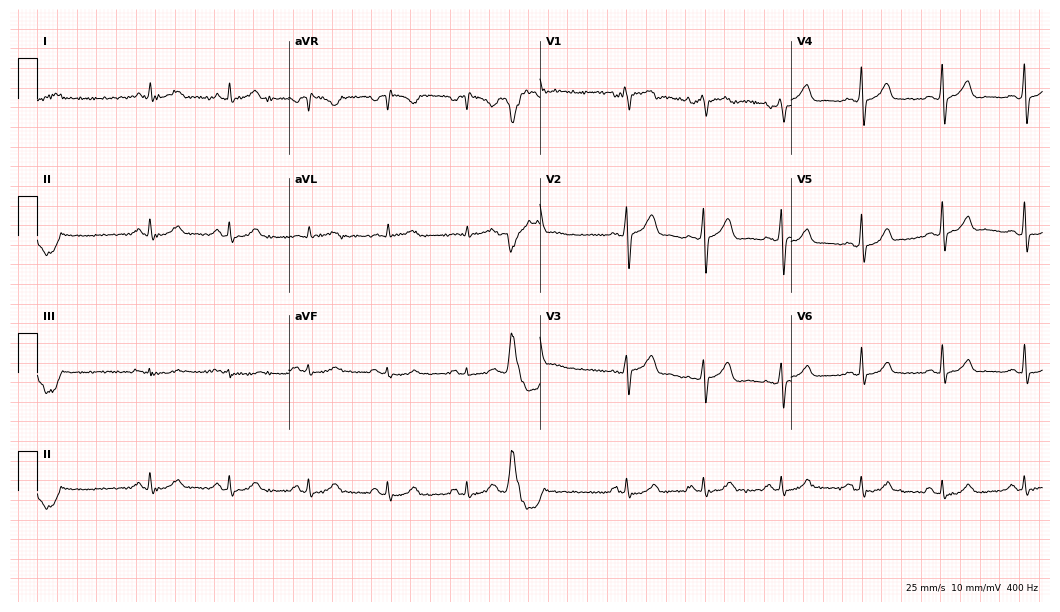
Standard 12-lead ECG recorded from a 54-year-old man (10.2-second recording at 400 Hz). None of these six findings is recorded: first-degree AV block, right bundle branch block (RBBB), left bundle branch block (LBBB), sinus bradycardia, atrial fibrillation (AF), sinus tachycardia.